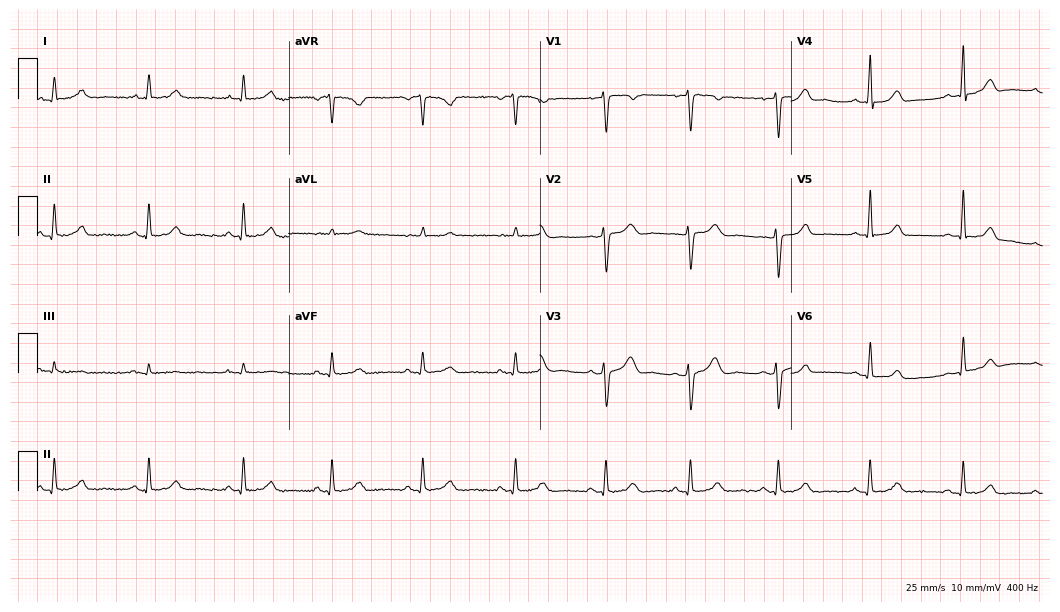
Standard 12-lead ECG recorded from a 31-year-old female. Read as a normal ECG.